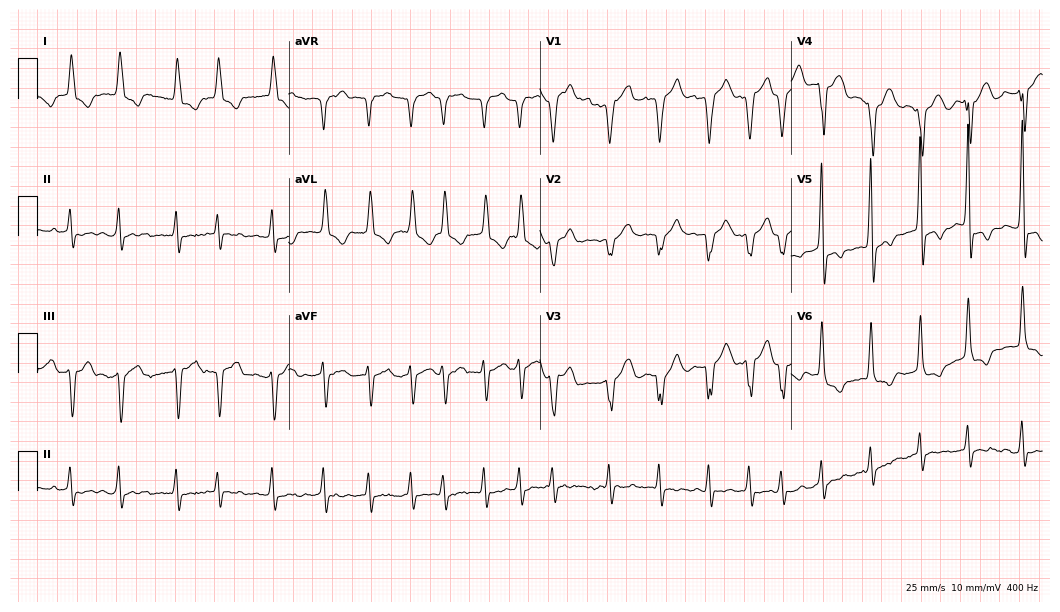
12-lead ECG from a woman, 85 years old. Shows atrial fibrillation.